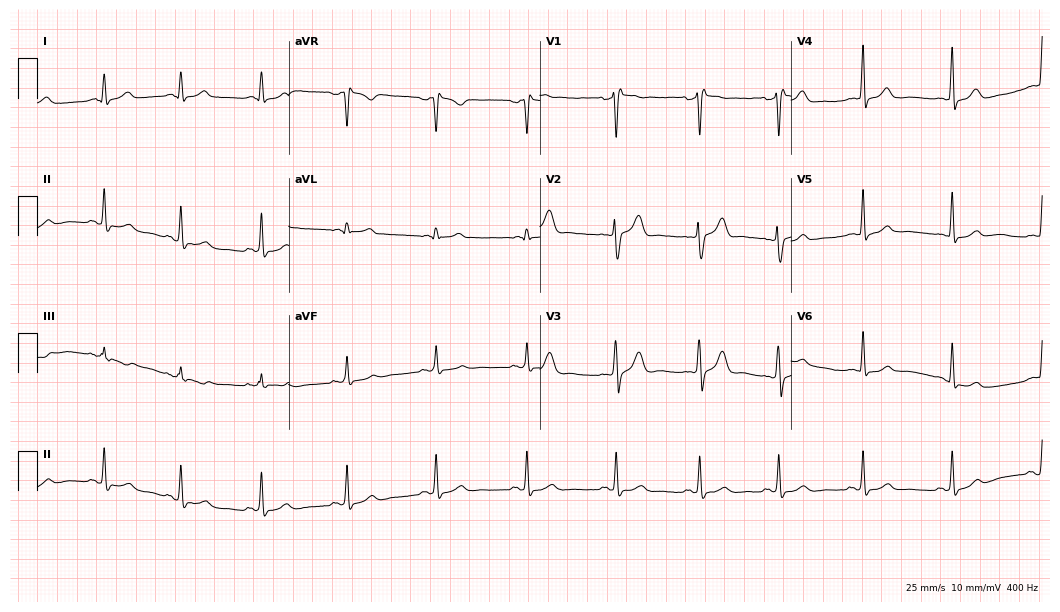
Electrocardiogram, a 38-year-old man. Of the six screened findings (first-degree AV block, right bundle branch block, left bundle branch block, sinus bradycardia, atrial fibrillation, sinus tachycardia), none is recorded.